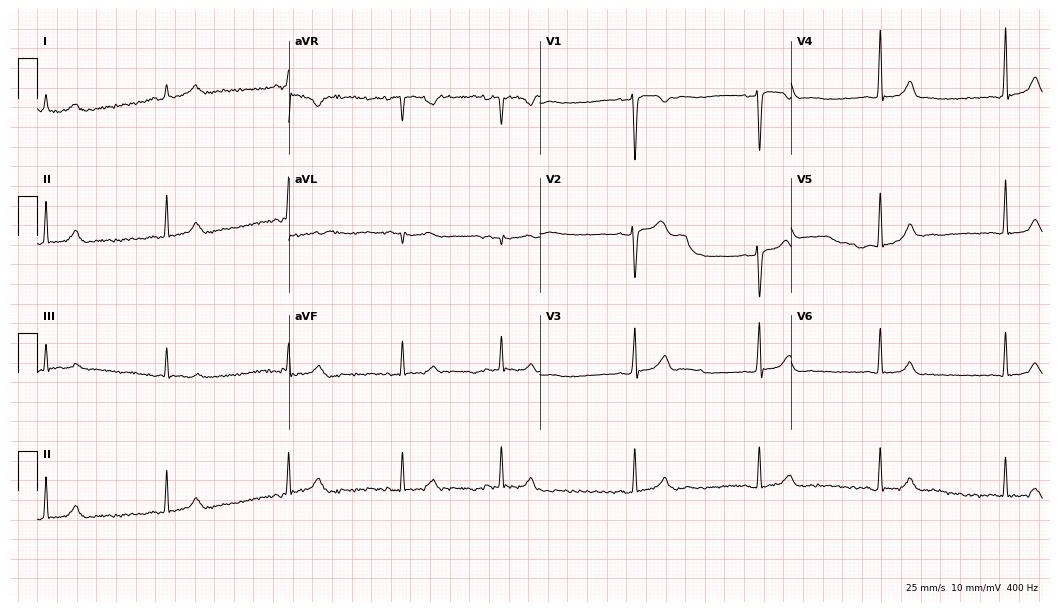
12-lead ECG from a 30-year-old female. Recorded interpretation: within normal limits.